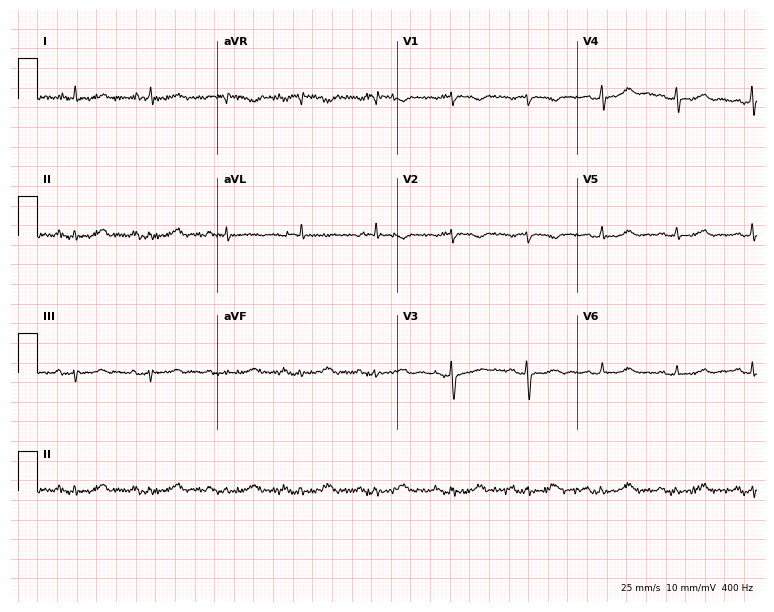
Resting 12-lead electrocardiogram. Patient: an 81-year-old woman. None of these six findings is recorded: first-degree AV block, right bundle branch block (RBBB), left bundle branch block (LBBB), sinus bradycardia, atrial fibrillation (AF), sinus tachycardia.